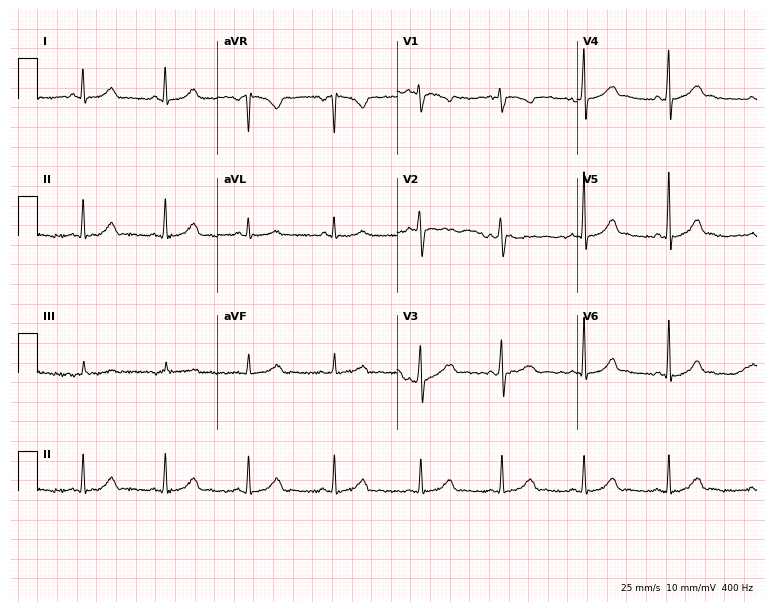
12-lead ECG from a 37-year-old female. Screened for six findings — first-degree AV block, right bundle branch block, left bundle branch block, sinus bradycardia, atrial fibrillation, sinus tachycardia — none is recorded.